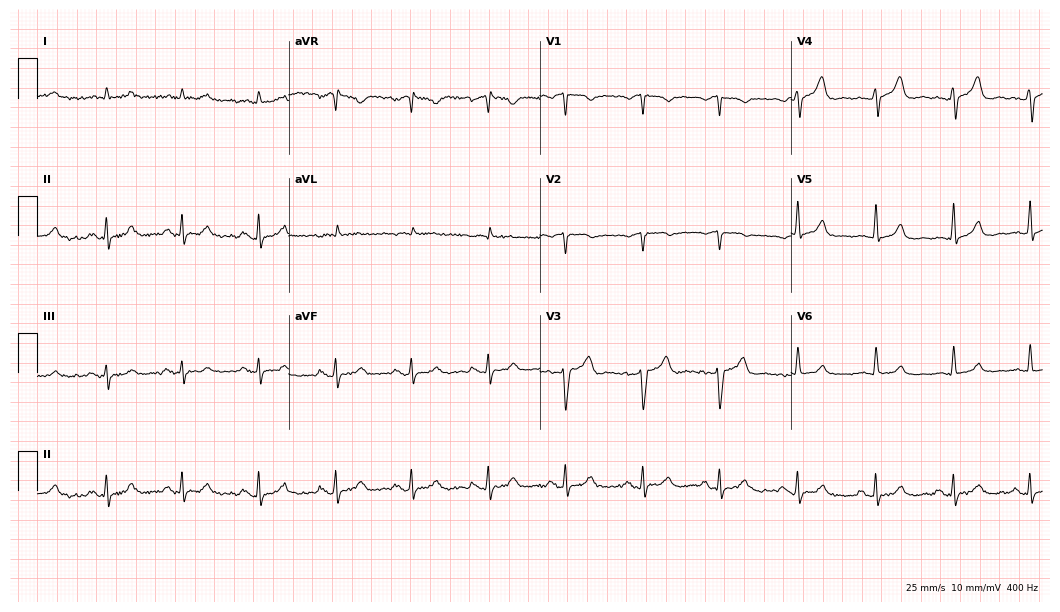
ECG — a 69-year-old male. Screened for six findings — first-degree AV block, right bundle branch block, left bundle branch block, sinus bradycardia, atrial fibrillation, sinus tachycardia — none is recorded. Findings outside these six are not listed.